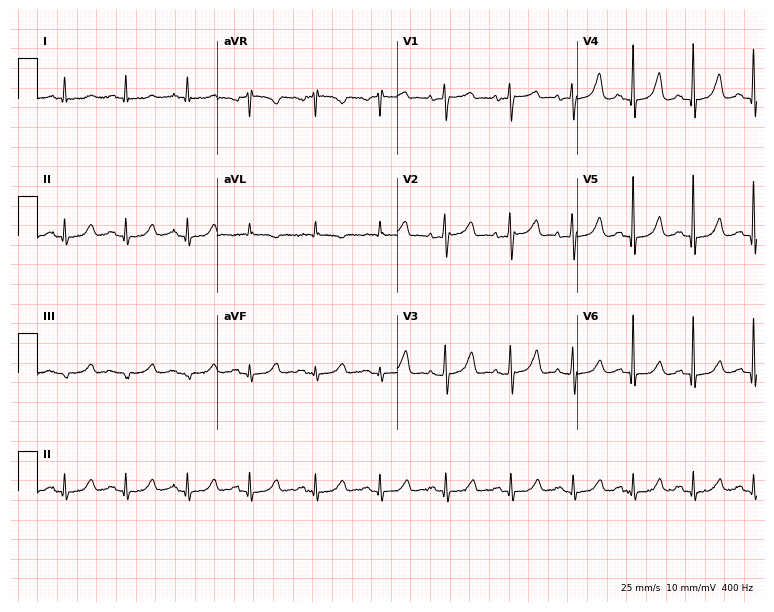
Resting 12-lead electrocardiogram. Patient: a female, 85 years old. Read as a normal ECG.